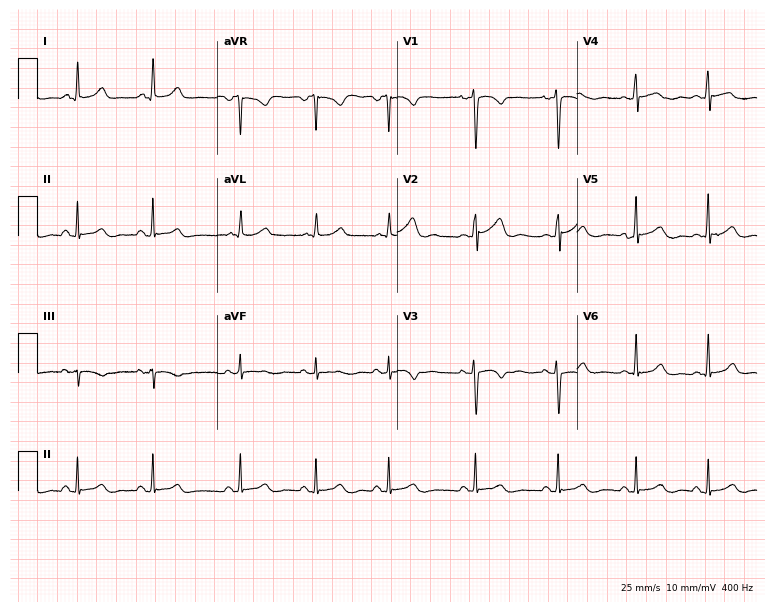
Standard 12-lead ECG recorded from a female patient, 23 years old. Read as a normal ECG.